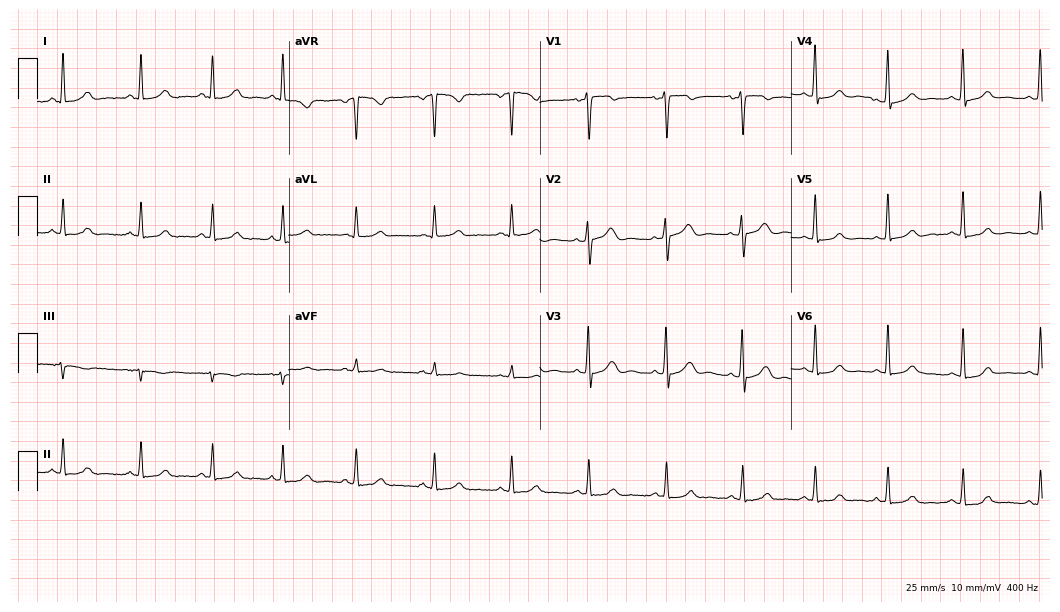
Resting 12-lead electrocardiogram. Patient: a 42-year-old female. Read as a normal ECG.